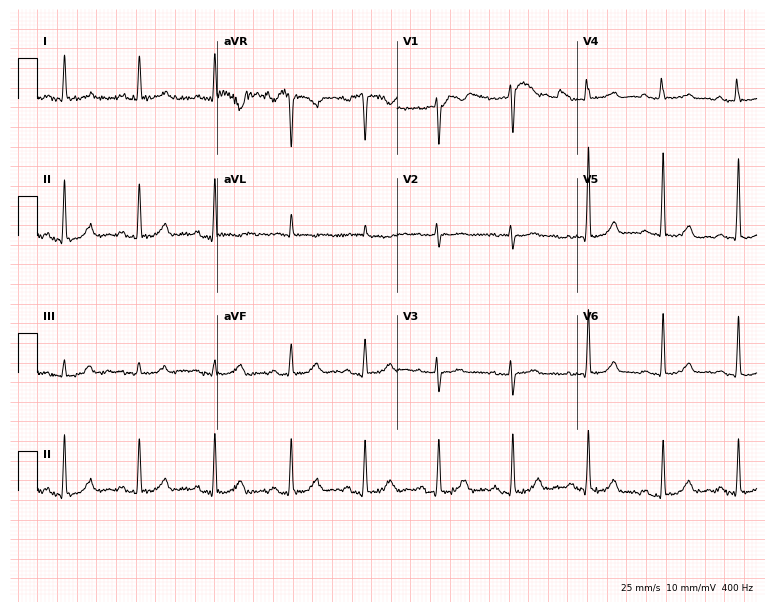
Standard 12-lead ECG recorded from a 54-year-old woman (7.3-second recording at 400 Hz). None of these six findings is recorded: first-degree AV block, right bundle branch block (RBBB), left bundle branch block (LBBB), sinus bradycardia, atrial fibrillation (AF), sinus tachycardia.